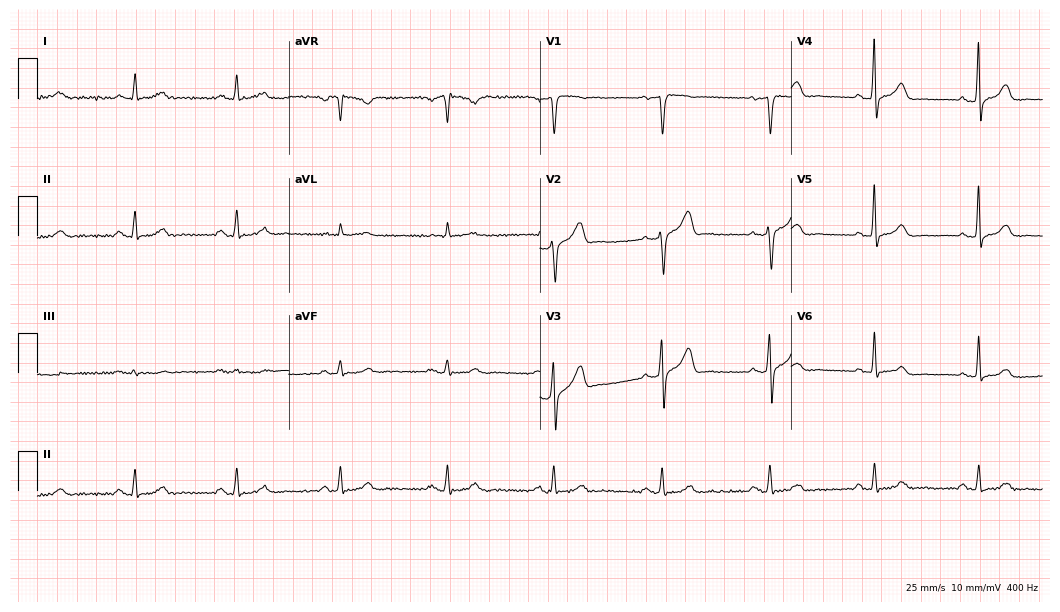
Resting 12-lead electrocardiogram (10.2-second recording at 400 Hz). Patient: a 58-year-old male. Read as a normal ECG.